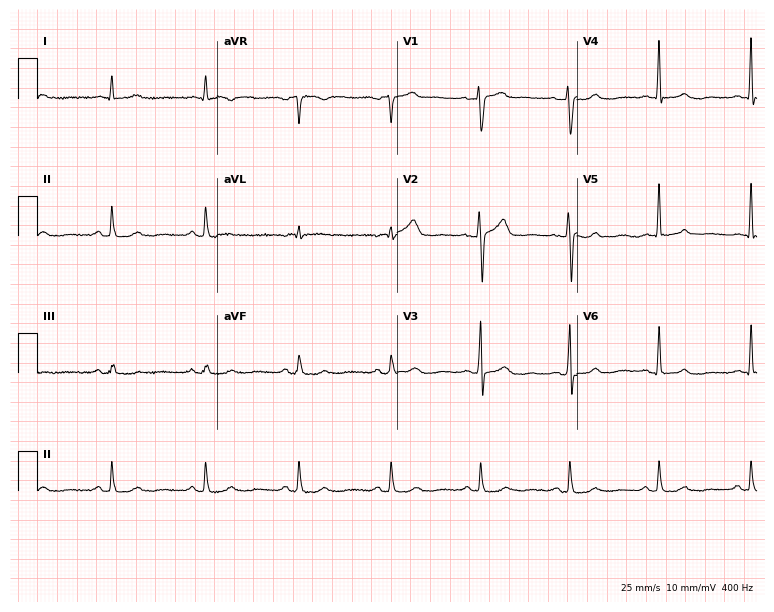
ECG (7.3-second recording at 400 Hz) — a 45-year-old man. Screened for six findings — first-degree AV block, right bundle branch block (RBBB), left bundle branch block (LBBB), sinus bradycardia, atrial fibrillation (AF), sinus tachycardia — none is recorded. Other findings, if any, are not listed.